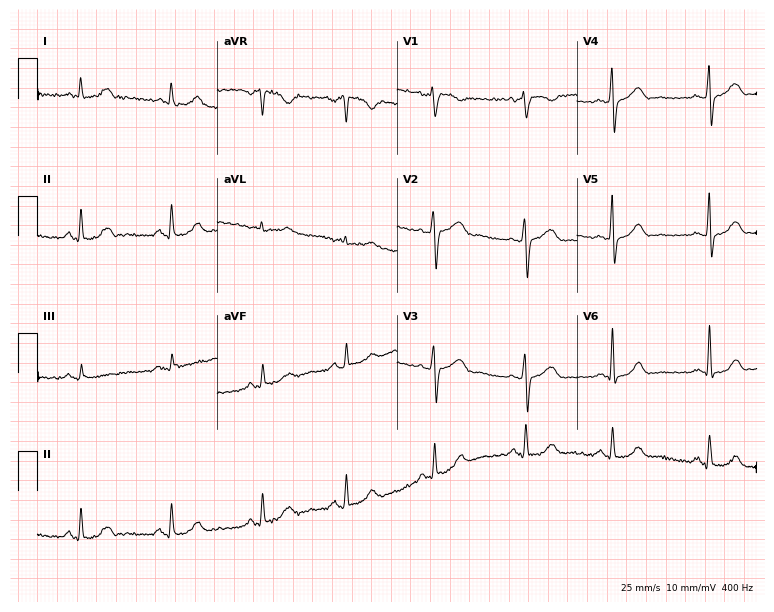
Resting 12-lead electrocardiogram. Patient: a 44-year-old female. None of these six findings is recorded: first-degree AV block, right bundle branch block (RBBB), left bundle branch block (LBBB), sinus bradycardia, atrial fibrillation (AF), sinus tachycardia.